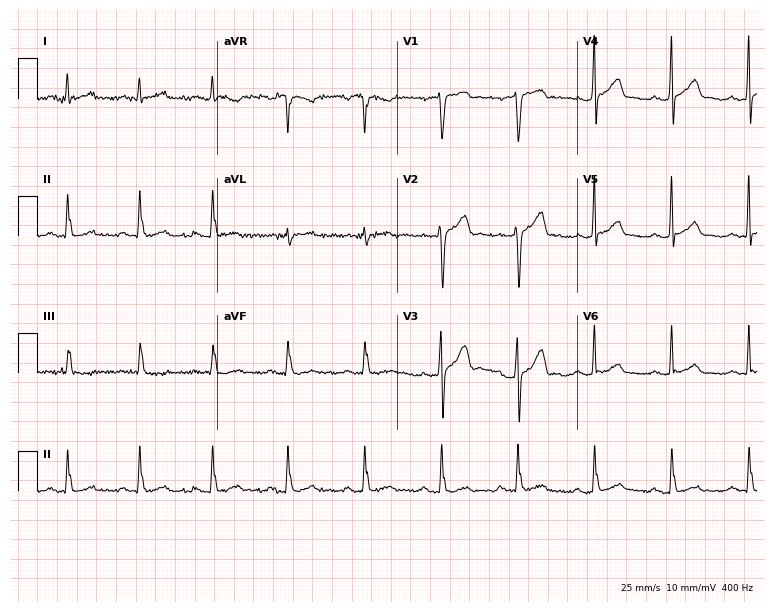
12-lead ECG from a 57-year-old male patient. Labelled as a normal ECG.